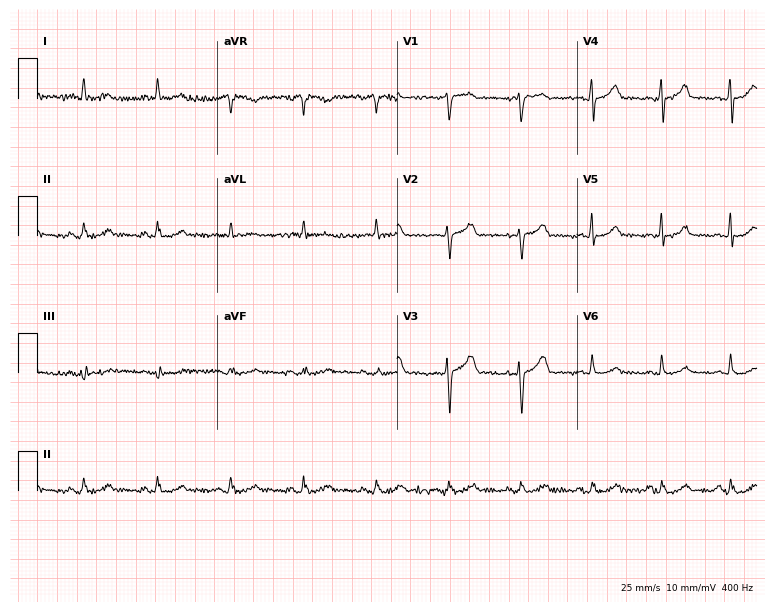
12-lead ECG (7.3-second recording at 400 Hz) from a 77-year-old man. Labelled as a normal ECG.